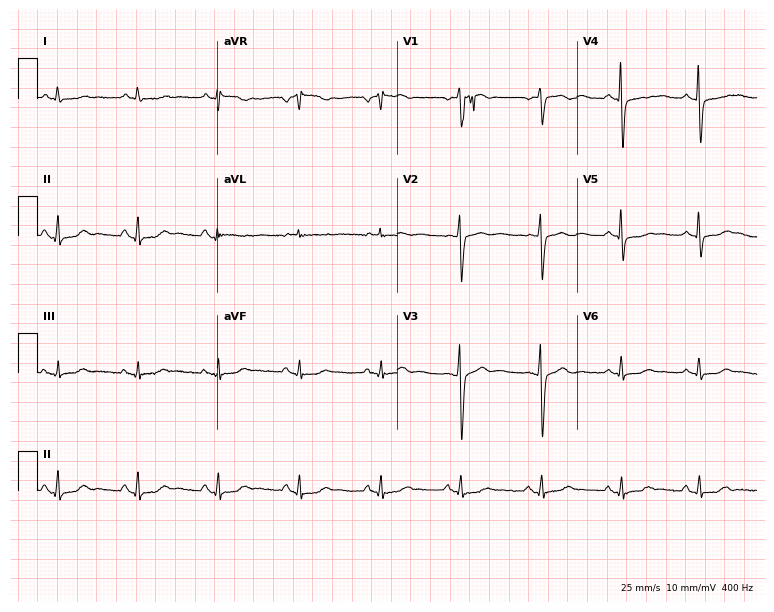
ECG (7.3-second recording at 400 Hz) — a woman, 60 years old. Screened for six findings — first-degree AV block, right bundle branch block (RBBB), left bundle branch block (LBBB), sinus bradycardia, atrial fibrillation (AF), sinus tachycardia — none is recorded.